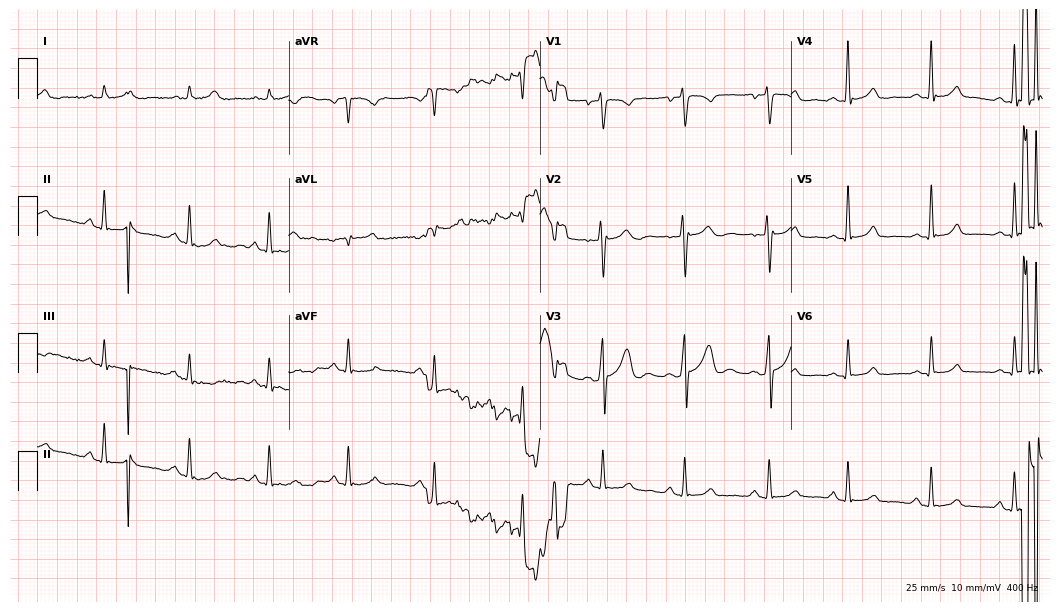
ECG (10.2-second recording at 400 Hz) — a male patient, 22 years old. Screened for six findings — first-degree AV block, right bundle branch block (RBBB), left bundle branch block (LBBB), sinus bradycardia, atrial fibrillation (AF), sinus tachycardia — none is recorded. Only these six findings were labelled.